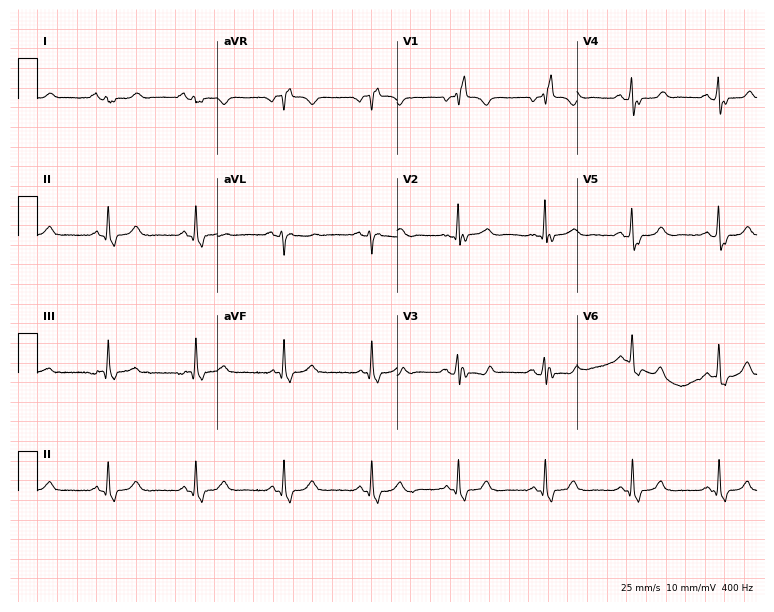
Electrocardiogram, a male, 72 years old. Interpretation includes right bundle branch block.